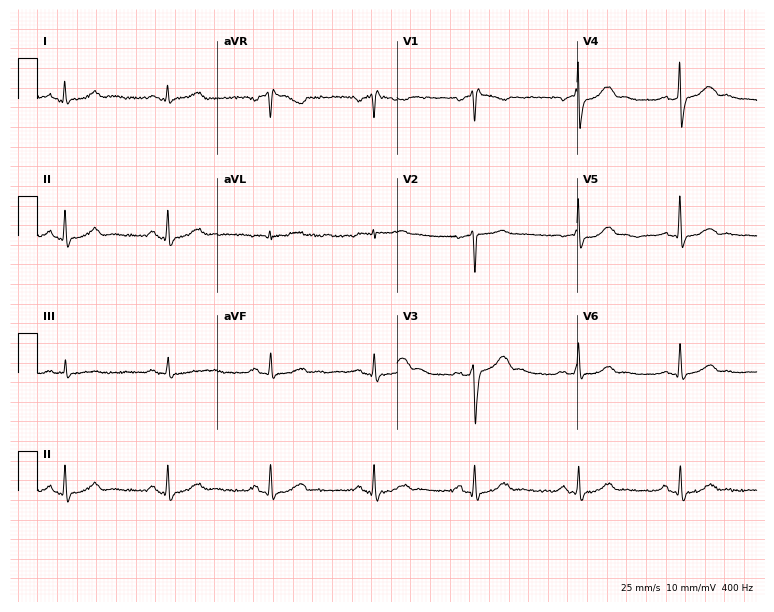
12-lead ECG from a man, 58 years old (7.3-second recording at 400 Hz). No first-degree AV block, right bundle branch block, left bundle branch block, sinus bradycardia, atrial fibrillation or sinus tachycardia recorded for this tracing. Findings outside these six are not listed.